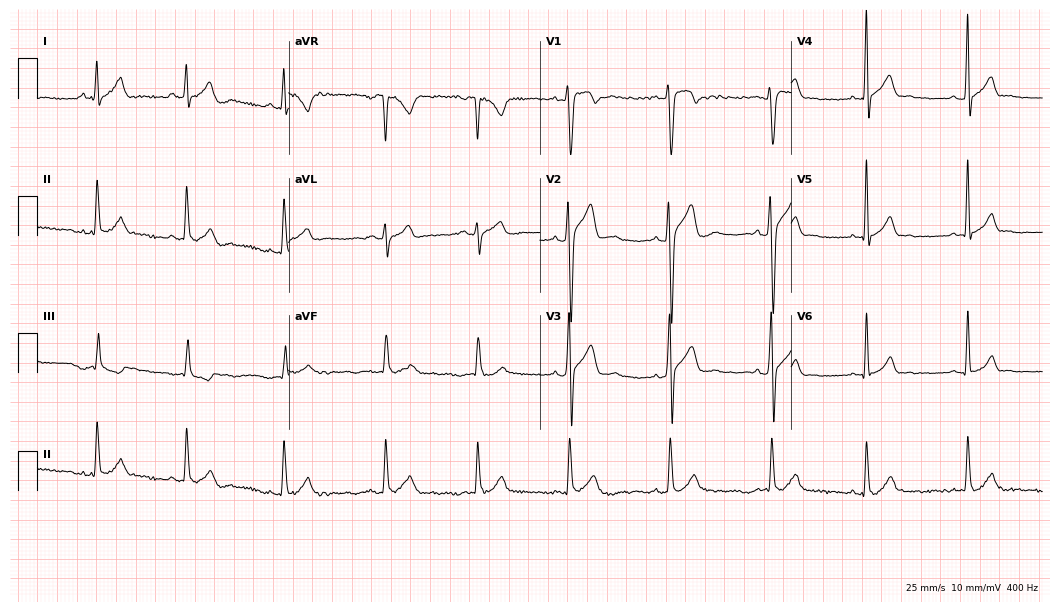
ECG — a 25-year-old man. Labelled as a normal ECG.